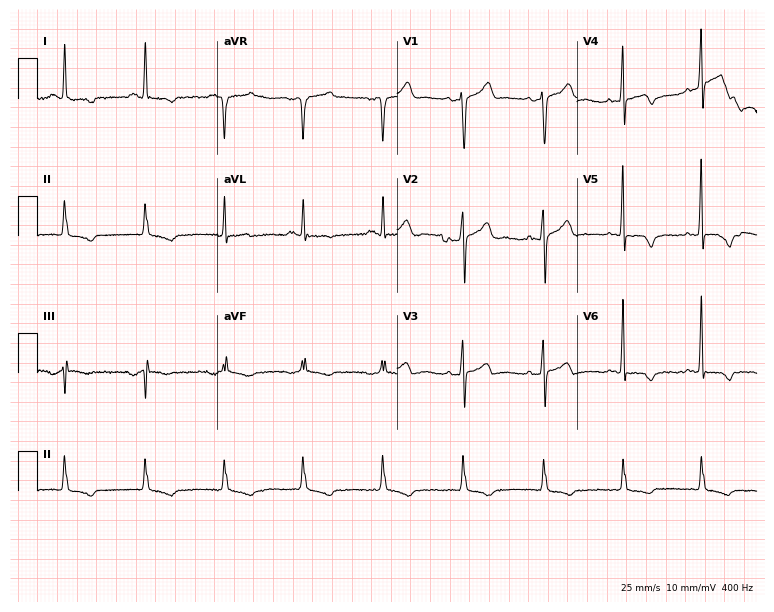
12-lead ECG from a man, 53 years old. Recorded interpretation: within normal limits.